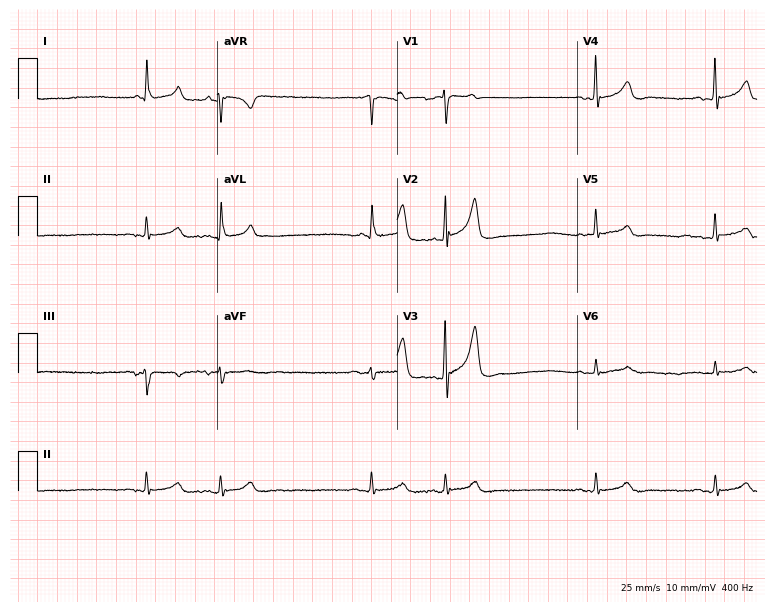
ECG — a male patient, 81 years old. Screened for six findings — first-degree AV block, right bundle branch block (RBBB), left bundle branch block (LBBB), sinus bradycardia, atrial fibrillation (AF), sinus tachycardia — none is recorded.